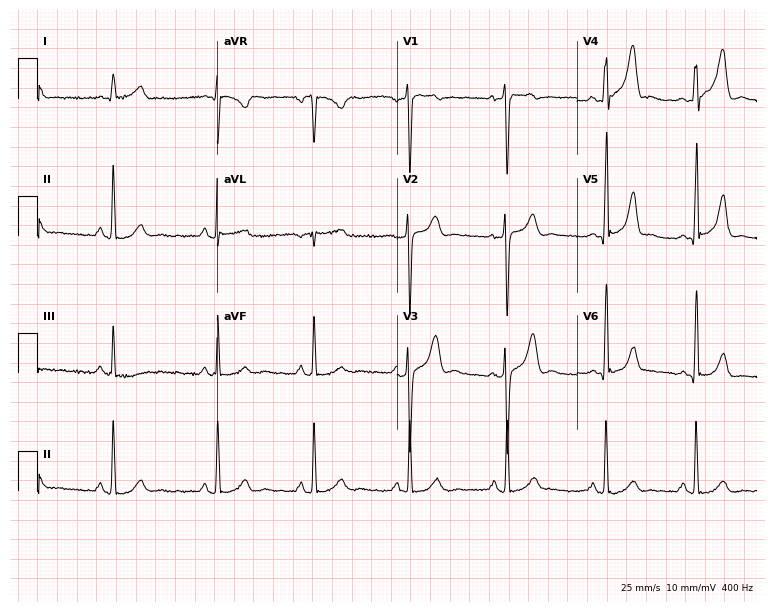
ECG (7.3-second recording at 400 Hz) — a male patient, 28 years old. Screened for six findings — first-degree AV block, right bundle branch block, left bundle branch block, sinus bradycardia, atrial fibrillation, sinus tachycardia — none is recorded. Findings outside these six are not listed.